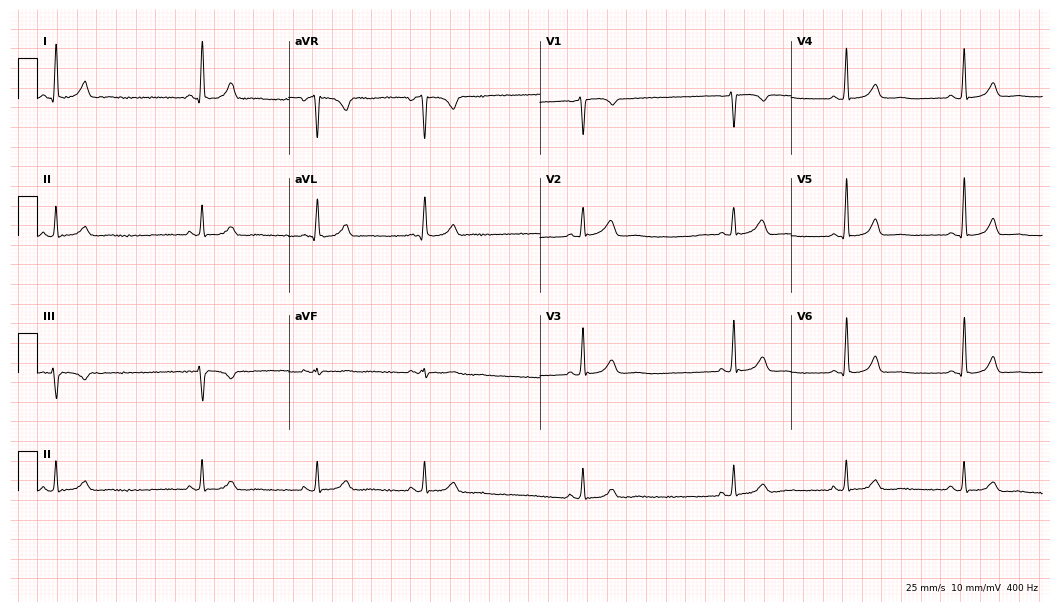
ECG (10.2-second recording at 400 Hz) — a 40-year-old female patient. Screened for six findings — first-degree AV block, right bundle branch block (RBBB), left bundle branch block (LBBB), sinus bradycardia, atrial fibrillation (AF), sinus tachycardia — none is recorded.